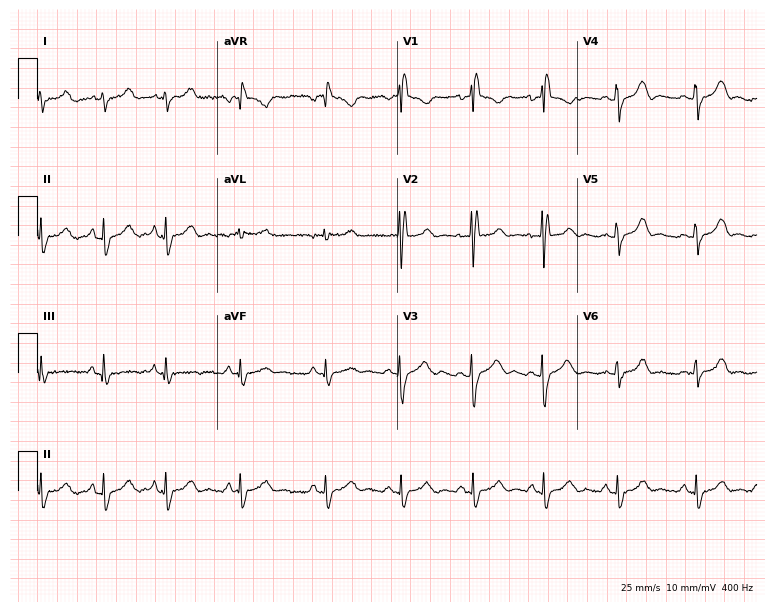
12-lead ECG (7.3-second recording at 400 Hz) from an 18-year-old female patient. Screened for six findings — first-degree AV block, right bundle branch block, left bundle branch block, sinus bradycardia, atrial fibrillation, sinus tachycardia — none is recorded.